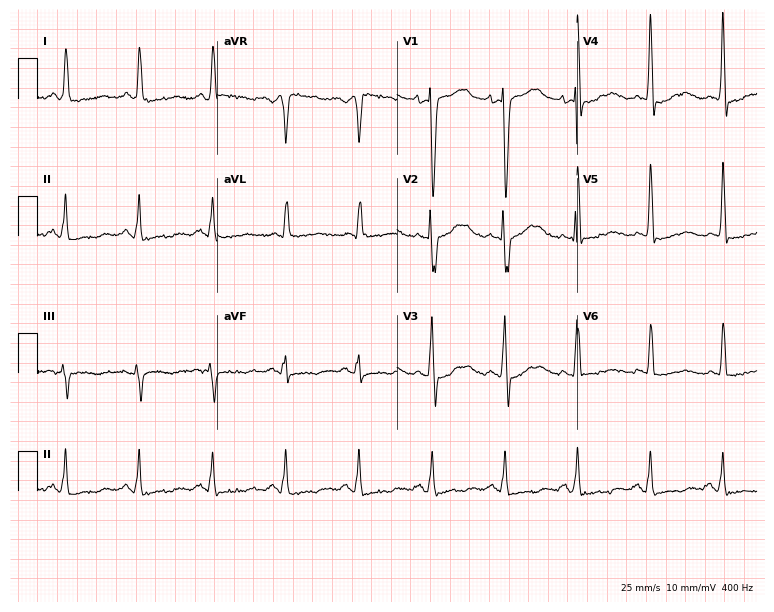
12-lead ECG from a male patient, 63 years old (7.3-second recording at 400 Hz). No first-degree AV block, right bundle branch block (RBBB), left bundle branch block (LBBB), sinus bradycardia, atrial fibrillation (AF) or sinus tachycardia recorded for this tracing. Findings outside these six are not listed.